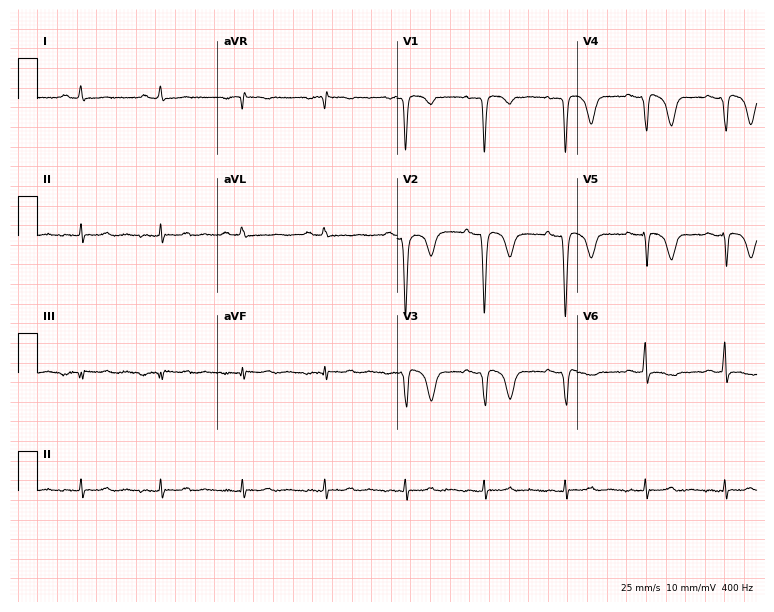
ECG — a 43-year-old female patient. Screened for six findings — first-degree AV block, right bundle branch block, left bundle branch block, sinus bradycardia, atrial fibrillation, sinus tachycardia — none is recorded. Other findings, if any, are not listed.